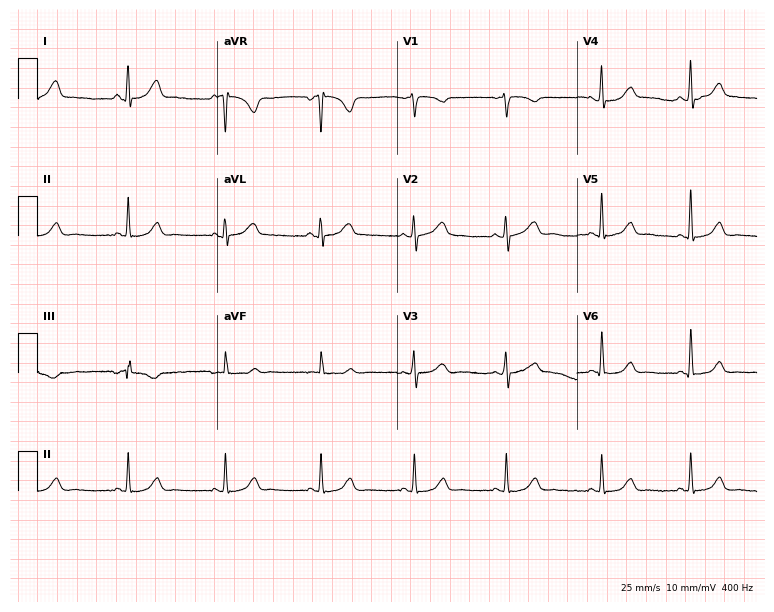
Resting 12-lead electrocardiogram (7.3-second recording at 400 Hz). Patient: a female, 36 years old. None of these six findings is recorded: first-degree AV block, right bundle branch block (RBBB), left bundle branch block (LBBB), sinus bradycardia, atrial fibrillation (AF), sinus tachycardia.